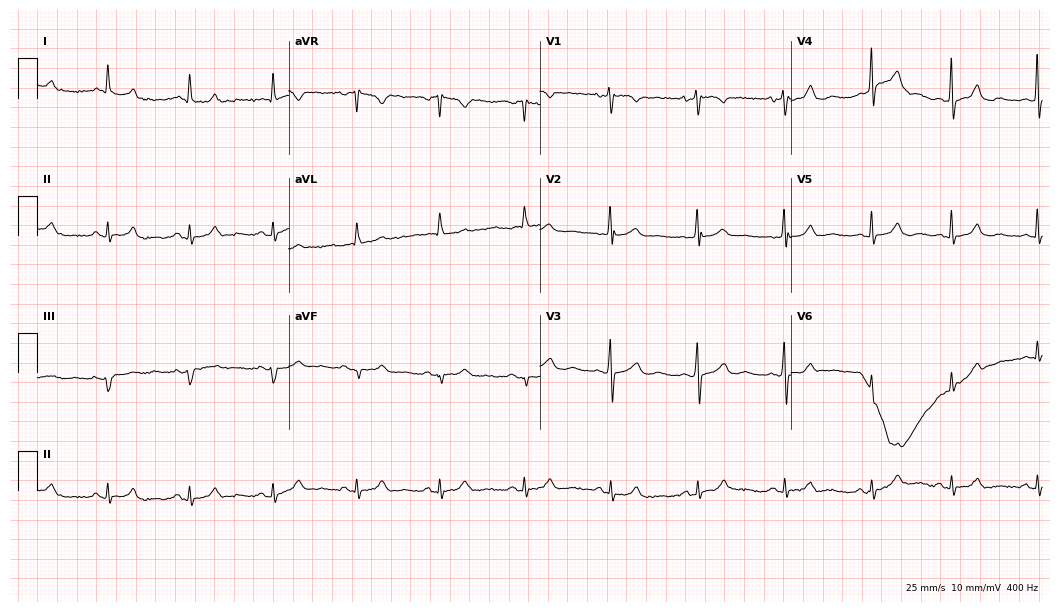
ECG (10.2-second recording at 400 Hz) — a 73-year-old woman. Screened for six findings — first-degree AV block, right bundle branch block (RBBB), left bundle branch block (LBBB), sinus bradycardia, atrial fibrillation (AF), sinus tachycardia — none is recorded. Findings outside these six are not listed.